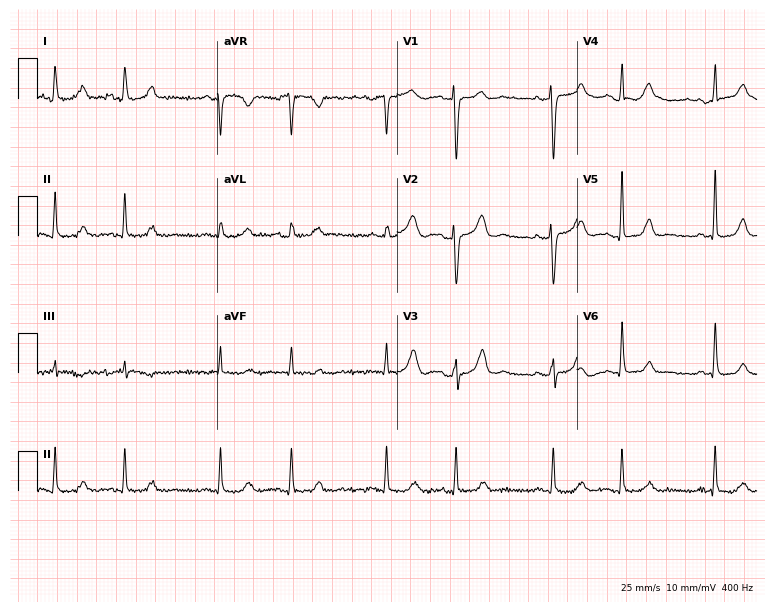
Resting 12-lead electrocardiogram (7.3-second recording at 400 Hz). Patient: a 62-year-old female. None of these six findings is recorded: first-degree AV block, right bundle branch block, left bundle branch block, sinus bradycardia, atrial fibrillation, sinus tachycardia. Findings outside these six are not listed.